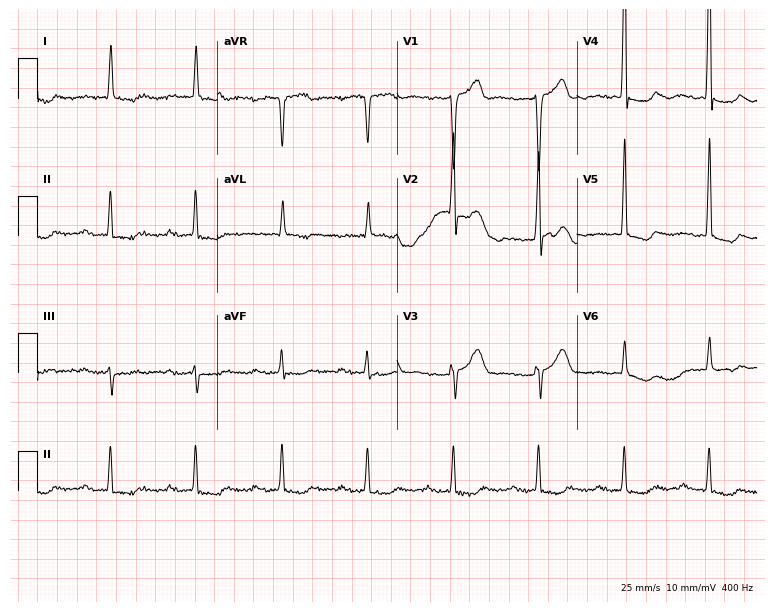
Standard 12-lead ECG recorded from a male, 77 years old. None of these six findings is recorded: first-degree AV block, right bundle branch block, left bundle branch block, sinus bradycardia, atrial fibrillation, sinus tachycardia.